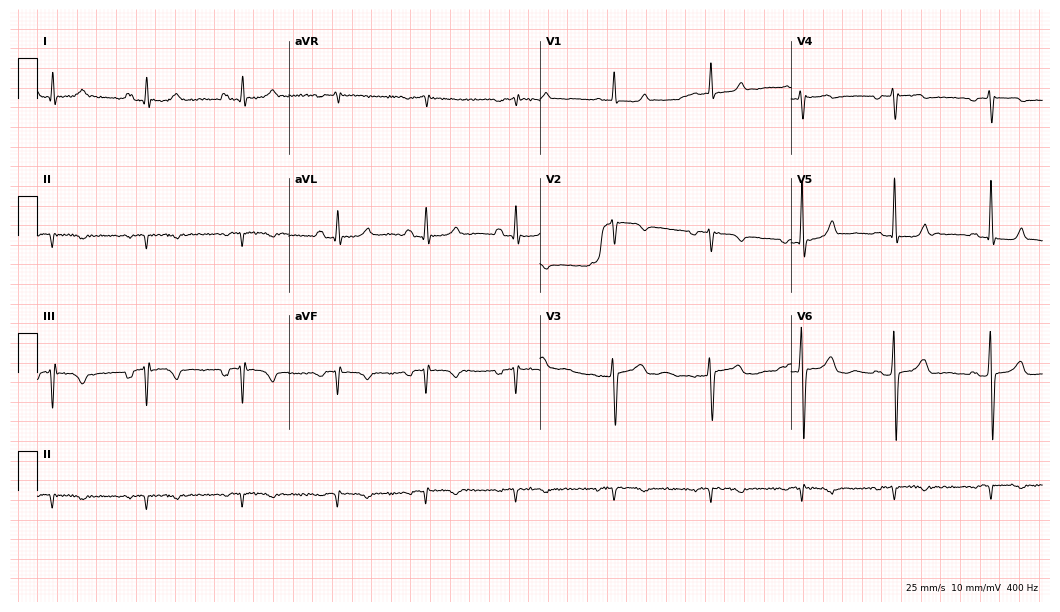
12-lead ECG from a woman, 57 years old. No first-degree AV block, right bundle branch block (RBBB), left bundle branch block (LBBB), sinus bradycardia, atrial fibrillation (AF) or sinus tachycardia recorded for this tracing. Other findings, if any, are not listed.